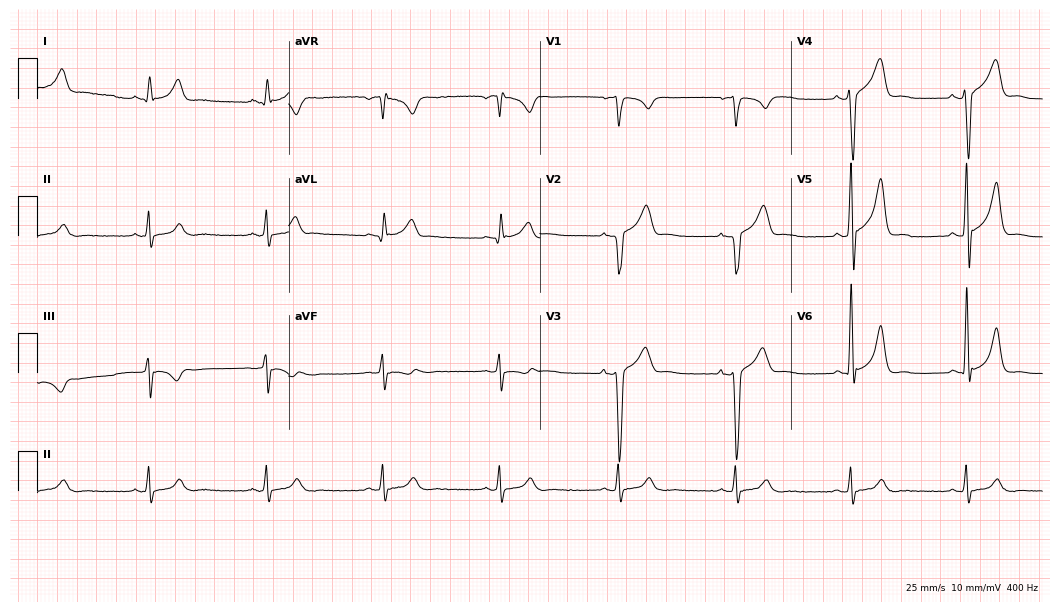
12-lead ECG from a 60-year-old male patient. Findings include sinus bradycardia (a sinus rate of 50 beats per minute or less).